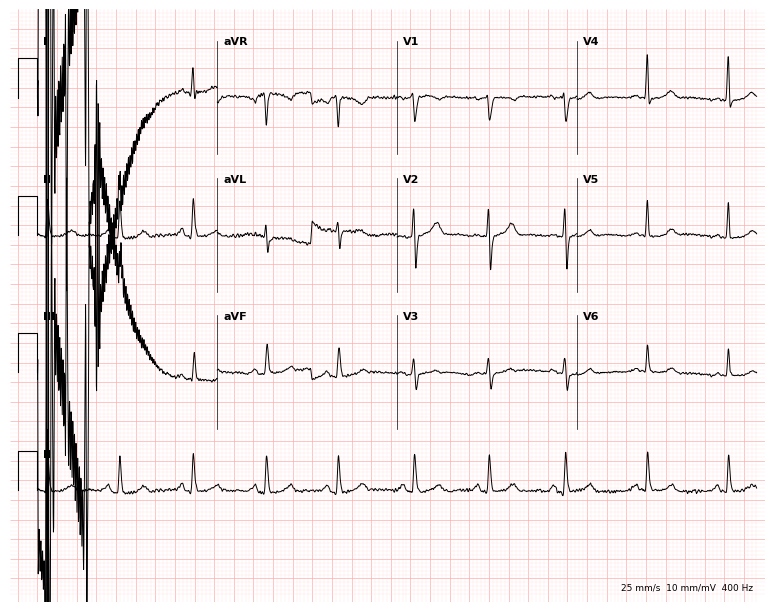
Resting 12-lead electrocardiogram (7.3-second recording at 400 Hz). Patient: a 46-year-old female. Read as a normal ECG.